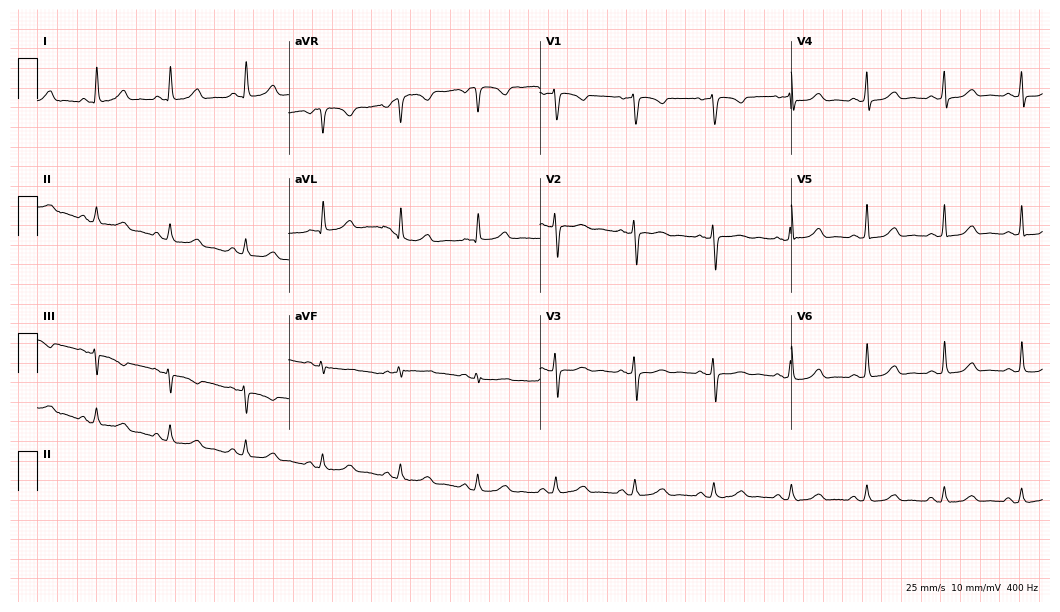
ECG — a 45-year-old woman. Labelled as a normal ECG.